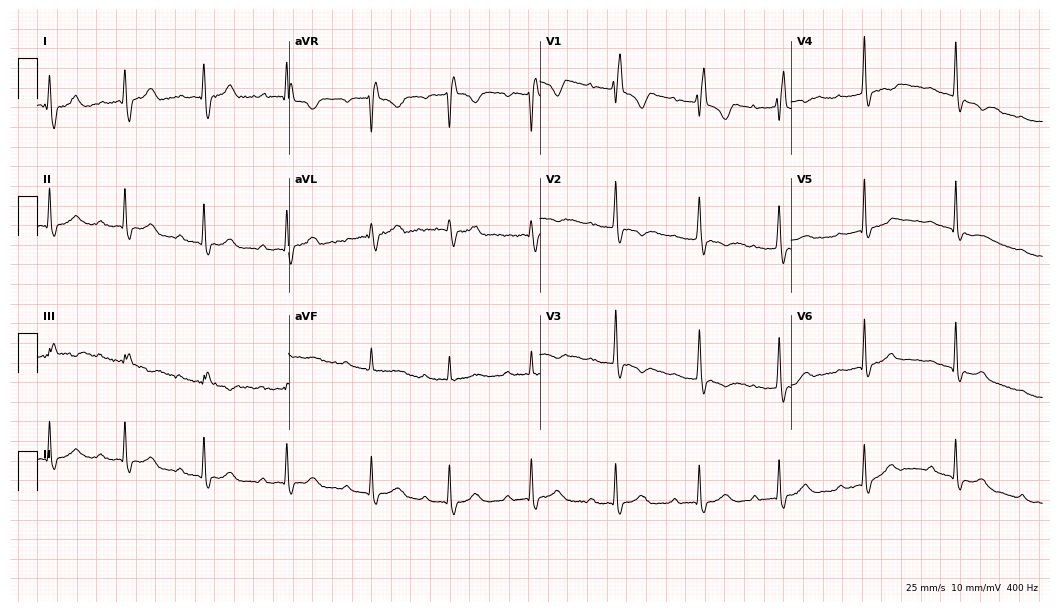
Standard 12-lead ECG recorded from a 26-year-old woman (10.2-second recording at 400 Hz). The tracing shows first-degree AV block, right bundle branch block (RBBB).